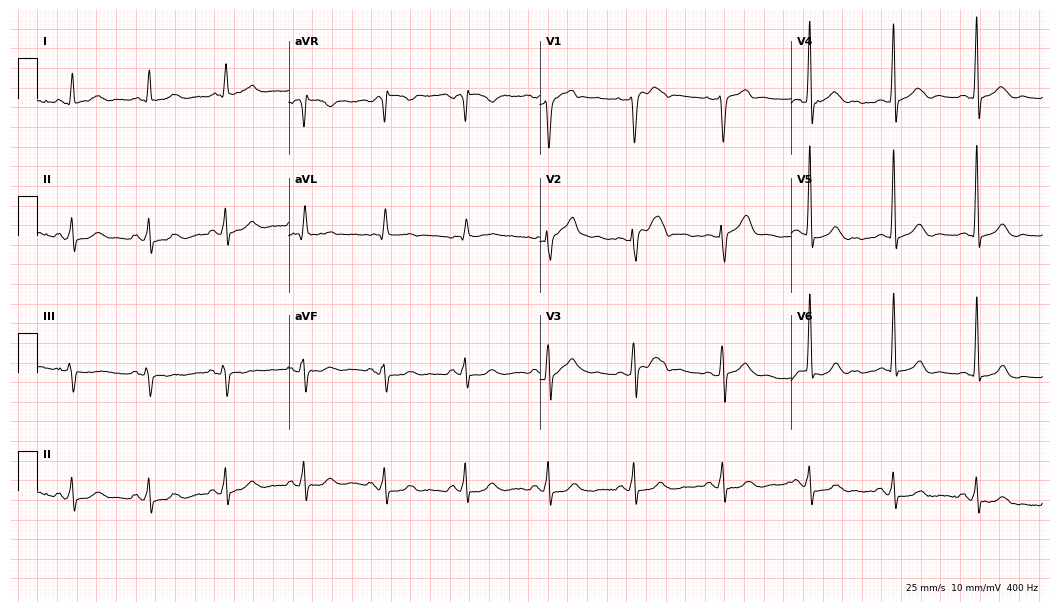
12-lead ECG from a 54-year-old male patient. No first-degree AV block, right bundle branch block (RBBB), left bundle branch block (LBBB), sinus bradycardia, atrial fibrillation (AF) or sinus tachycardia recorded for this tracing.